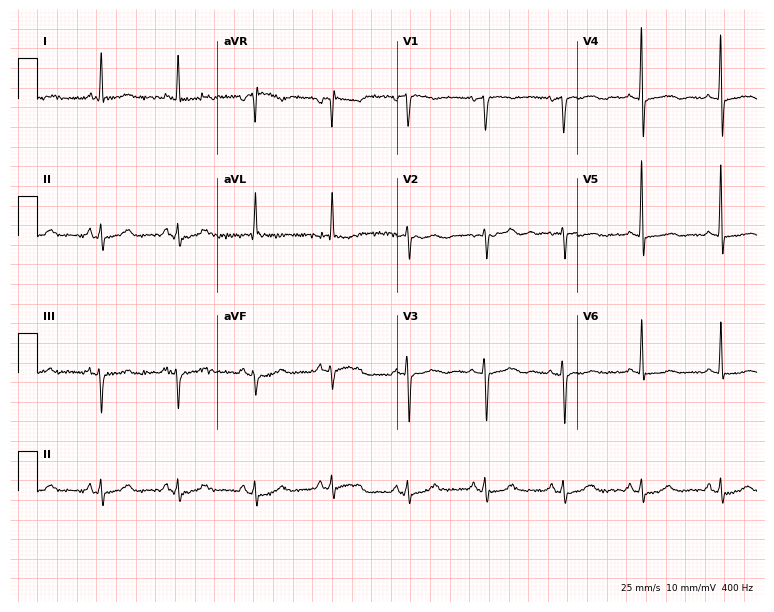
Standard 12-lead ECG recorded from a 72-year-old woman (7.3-second recording at 400 Hz). None of these six findings is recorded: first-degree AV block, right bundle branch block, left bundle branch block, sinus bradycardia, atrial fibrillation, sinus tachycardia.